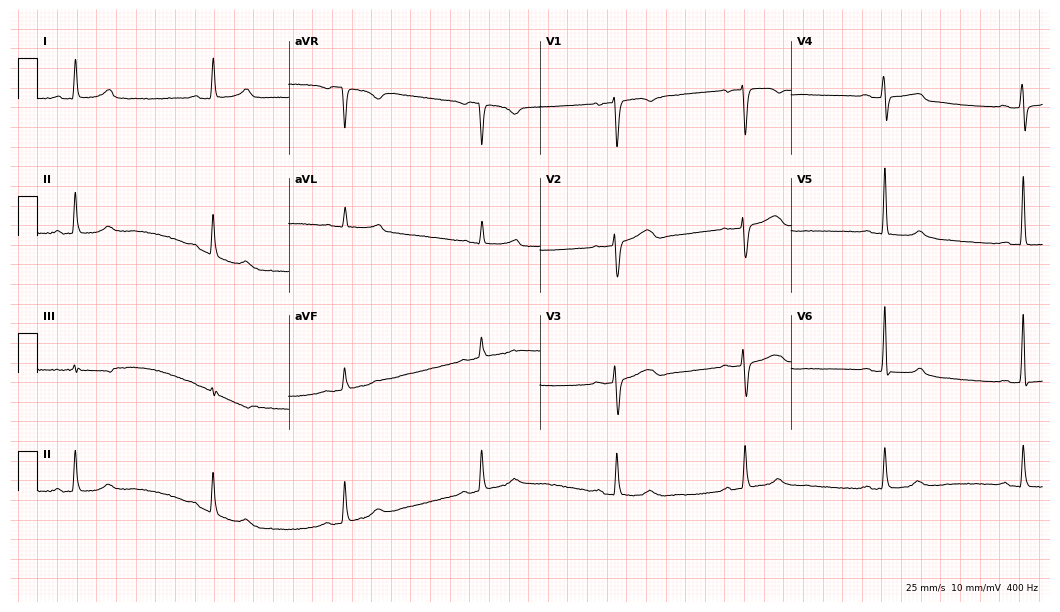
Resting 12-lead electrocardiogram. Patient: a female, 56 years old. The tracing shows sinus bradycardia (a sinus rate of 50 beats per minute or less).